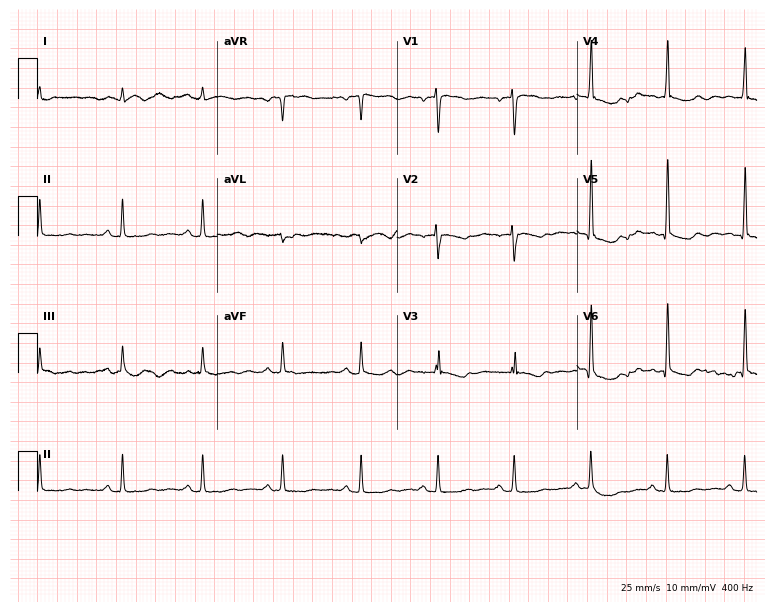
ECG (7.3-second recording at 400 Hz) — a woman, 48 years old. Screened for six findings — first-degree AV block, right bundle branch block, left bundle branch block, sinus bradycardia, atrial fibrillation, sinus tachycardia — none is recorded. Findings outside these six are not listed.